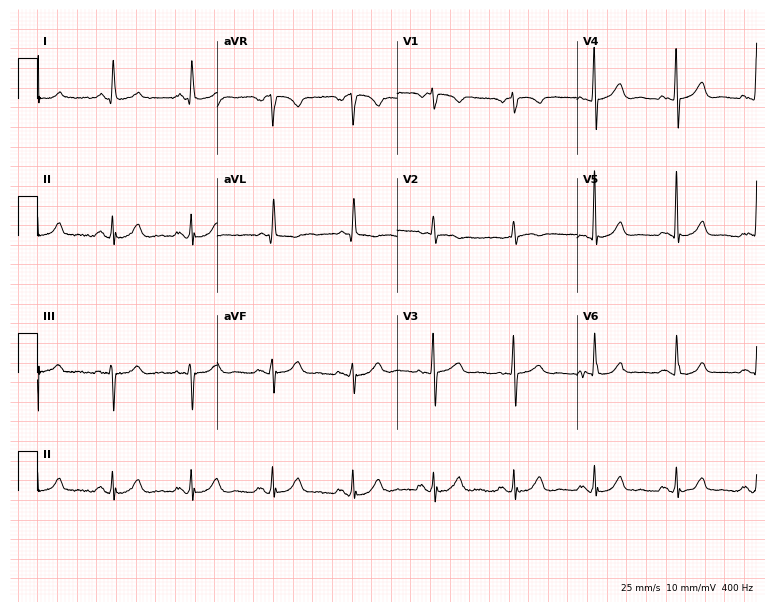
Standard 12-lead ECG recorded from a 73-year-old female (7.3-second recording at 400 Hz). Read as a normal ECG.